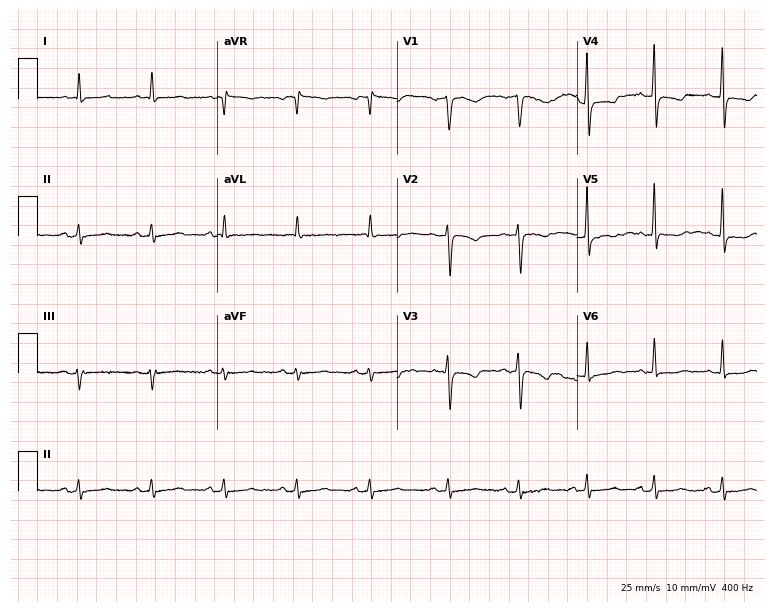
Resting 12-lead electrocardiogram (7.3-second recording at 400 Hz). Patient: a 64-year-old female. None of these six findings is recorded: first-degree AV block, right bundle branch block, left bundle branch block, sinus bradycardia, atrial fibrillation, sinus tachycardia.